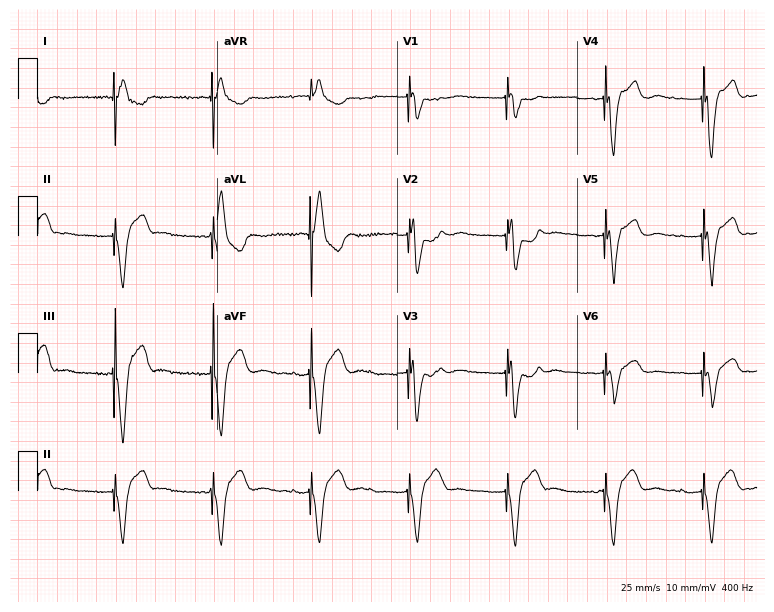
ECG (7.3-second recording at 400 Hz) — a female patient, 72 years old. Screened for six findings — first-degree AV block, right bundle branch block, left bundle branch block, sinus bradycardia, atrial fibrillation, sinus tachycardia — none is recorded. Other findings, if any, are not listed.